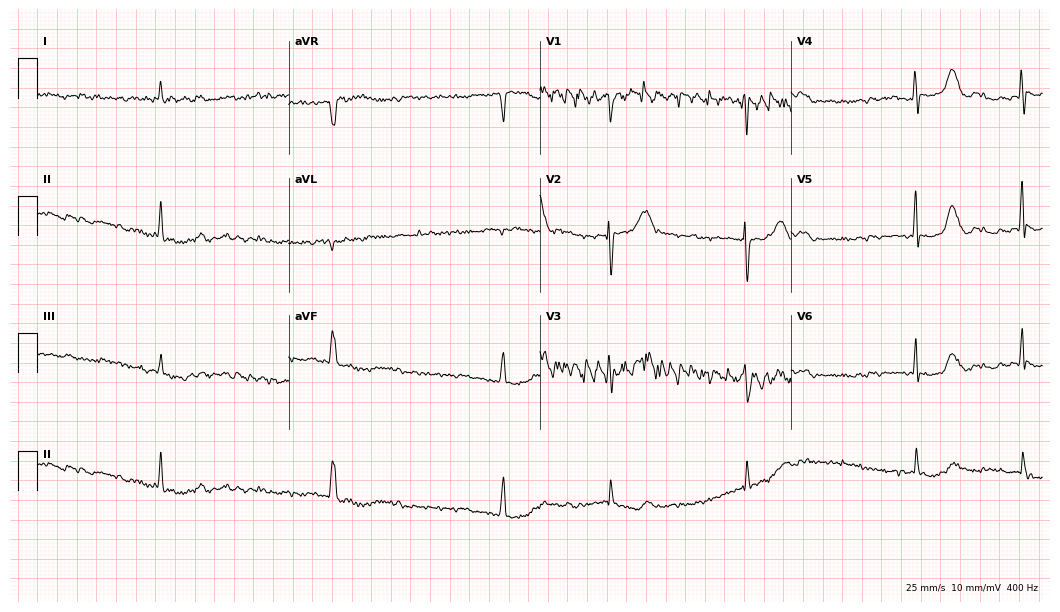
12-lead ECG from a male patient, 61 years old (10.2-second recording at 400 Hz). Shows atrial fibrillation.